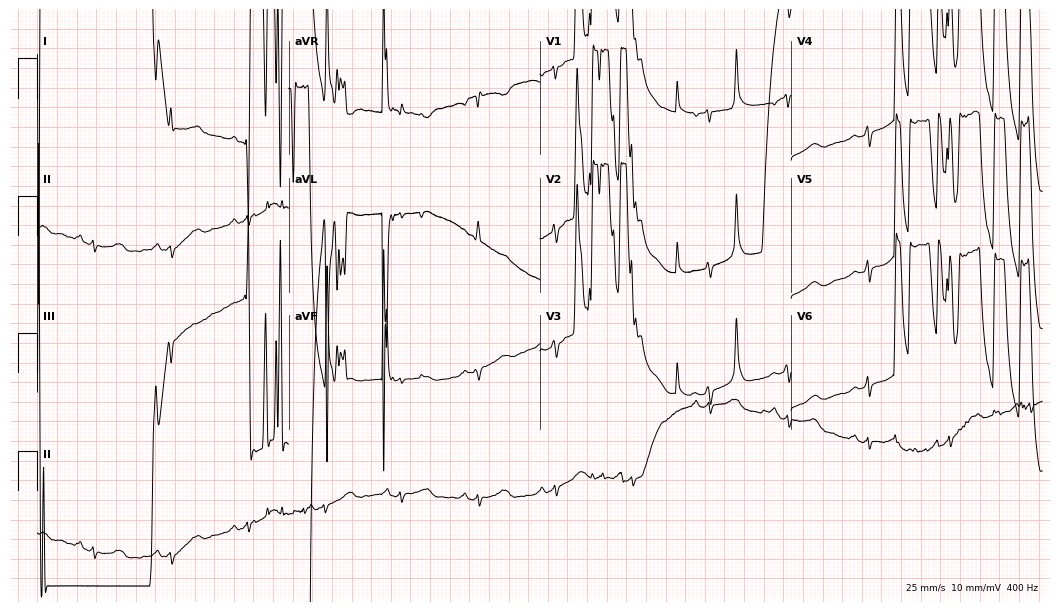
12-lead ECG from a 67-year-old woman. No first-degree AV block, right bundle branch block (RBBB), left bundle branch block (LBBB), sinus bradycardia, atrial fibrillation (AF) or sinus tachycardia recorded for this tracing.